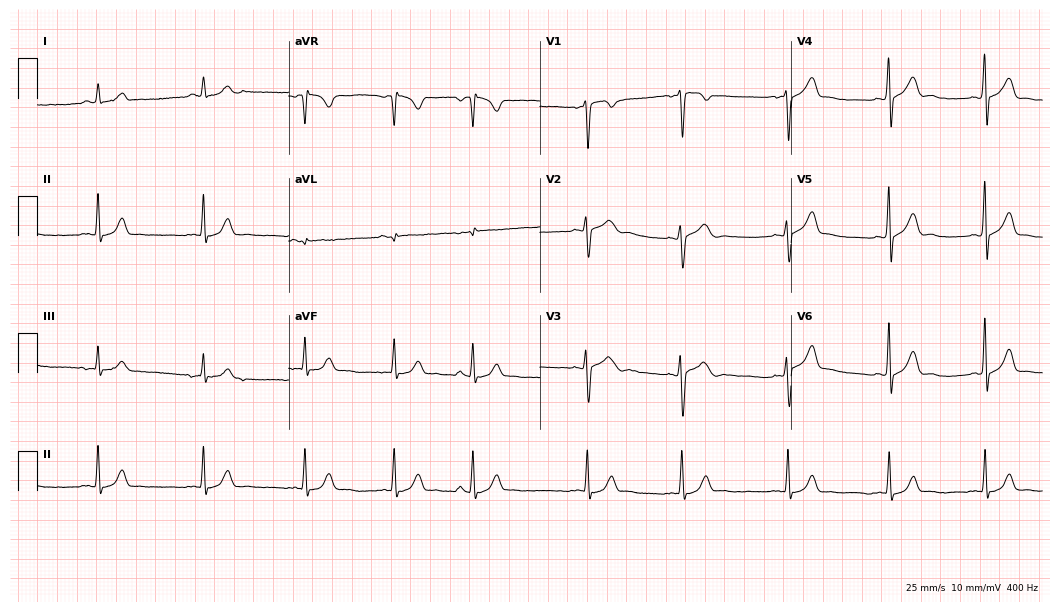
Standard 12-lead ECG recorded from a 20-year-old male patient. None of these six findings is recorded: first-degree AV block, right bundle branch block, left bundle branch block, sinus bradycardia, atrial fibrillation, sinus tachycardia. Findings outside these six are not listed.